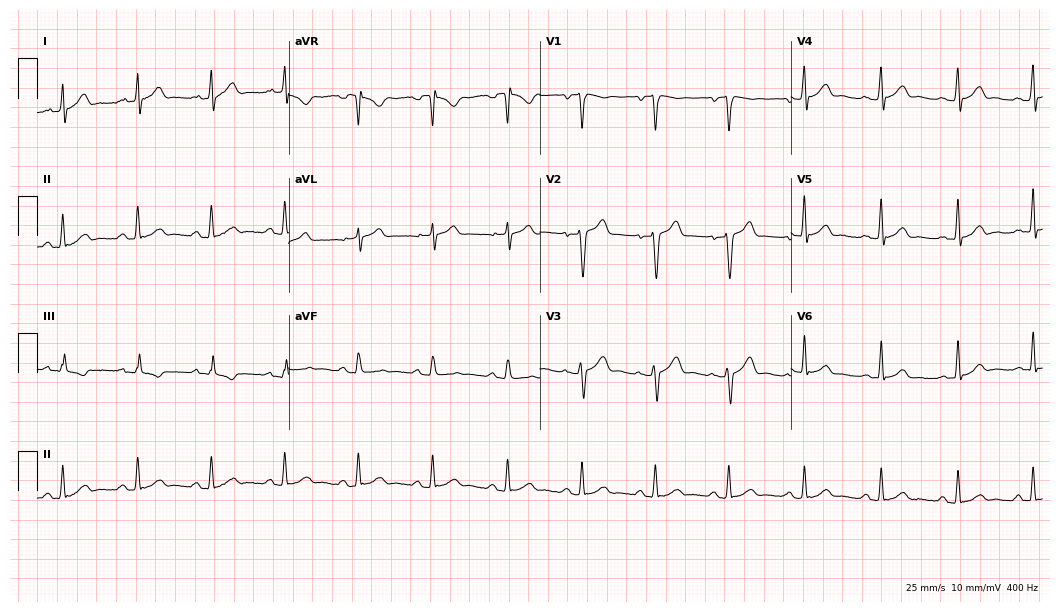
Standard 12-lead ECG recorded from a 45-year-old male. Read as a normal ECG.